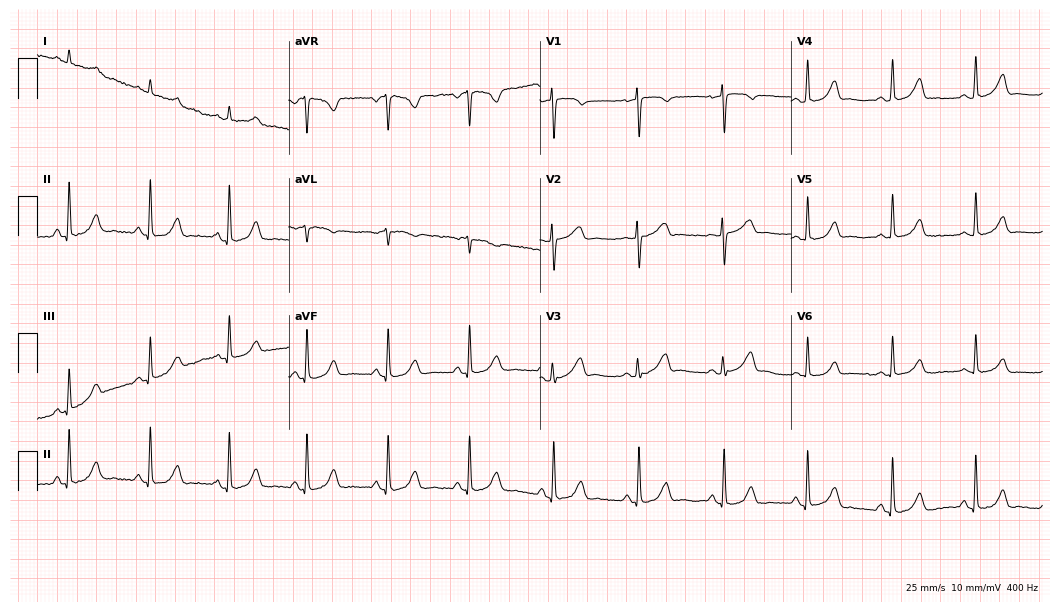
Resting 12-lead electrocardiogram (10.2-second recording at 400 Hz). Patient: a female, 35 years old. Read as a normal ECG.